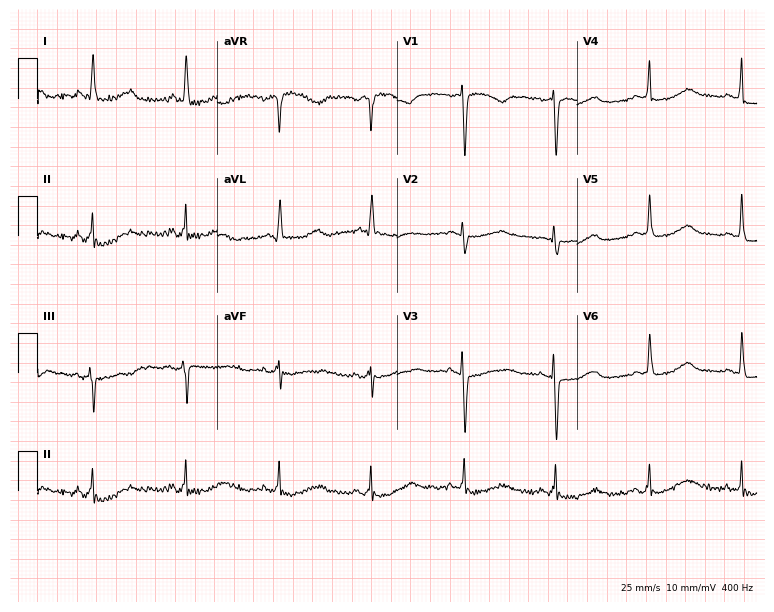
12-lead ECG from a female patient, 84 years old (7.3-second recording at 400 Hz). No first-degree AV block, right bundle branch block, left bundle branch block, sinus bradycardia, atrial fibrillation or sinus tachycardia recorded for this tracing.